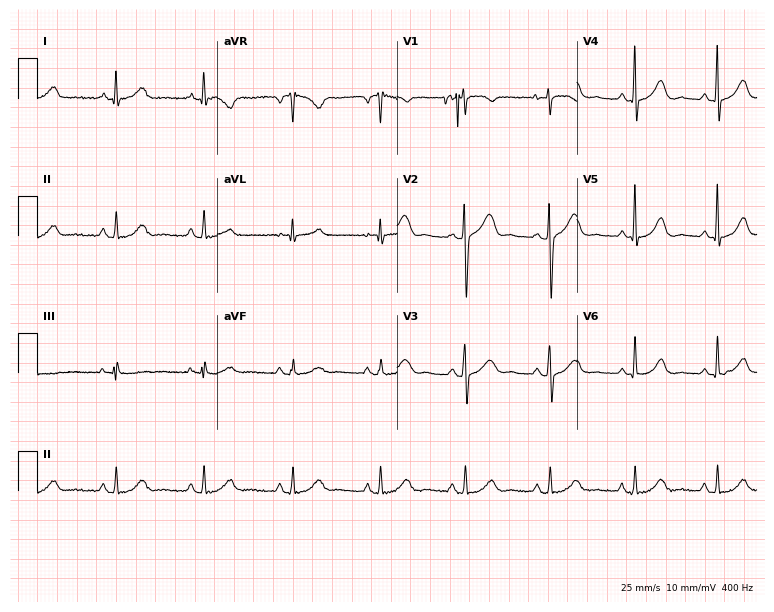
Electrocardiogram, a 54-year-old female patient. Overall reading on record: normal ECG.